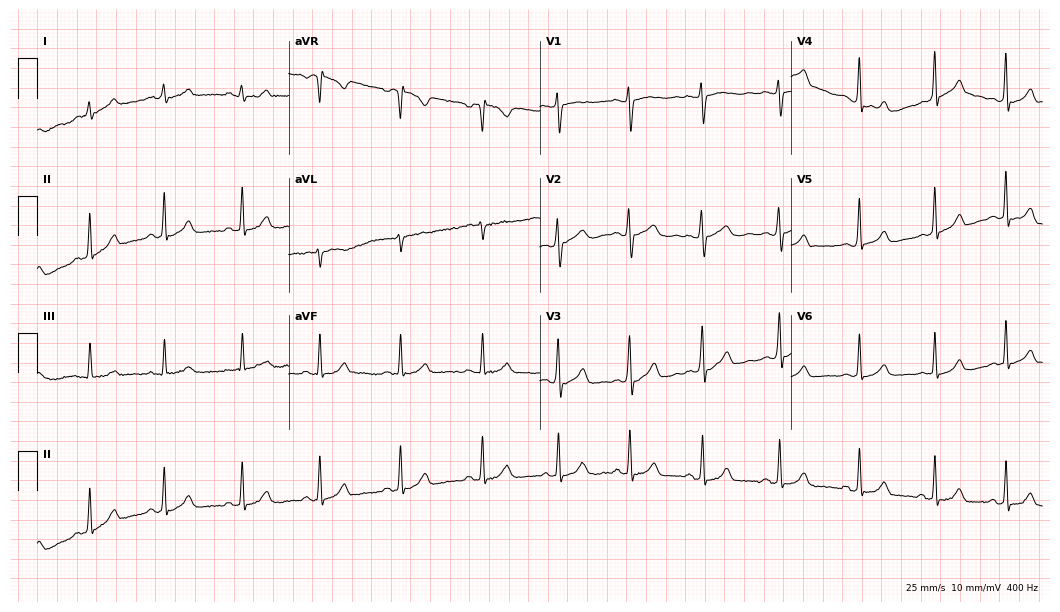
ECG — a 28-year-old female patient. Labelled as a normal ECG.